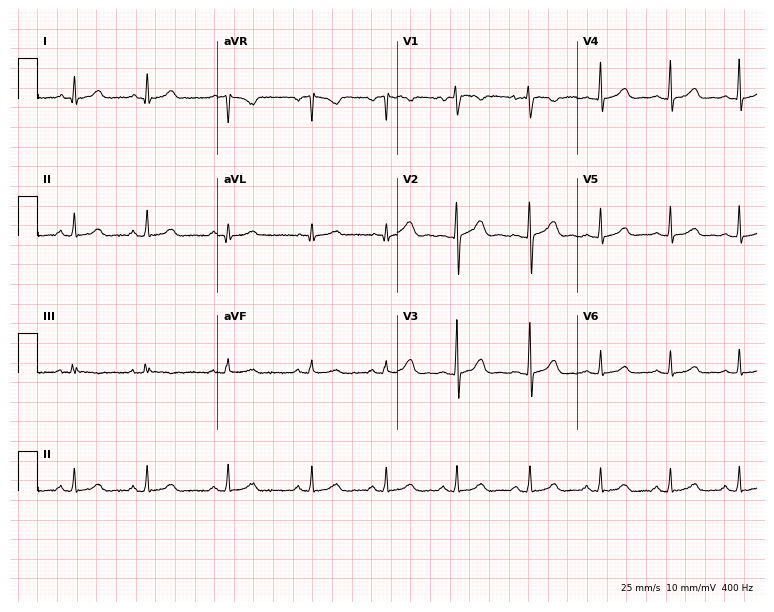
Resting 12-lead electrocardiogram. Patient: a woman, 22 years old. Read as a normal ECG.